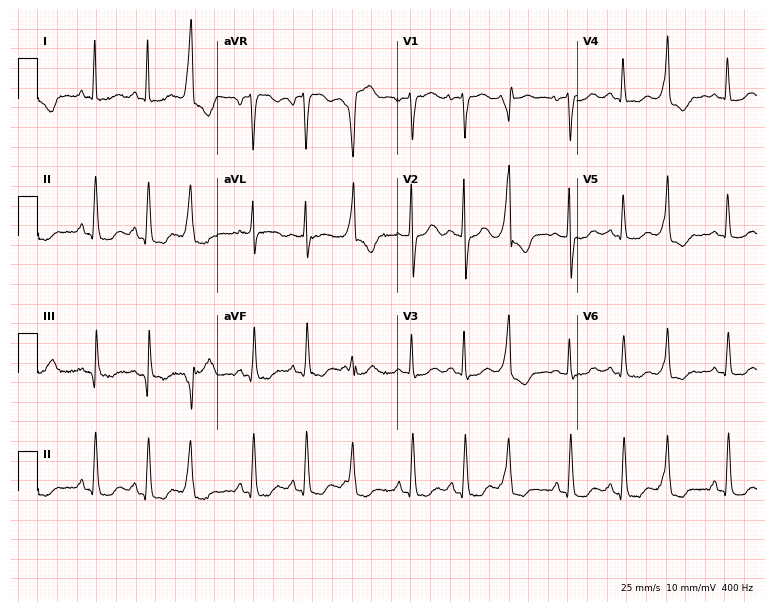
Standard 12-lead ECG recorded from a 59-year-old female. The tracing shows sinus tachycardia (a sinus rate of 100 beats per minute or more).